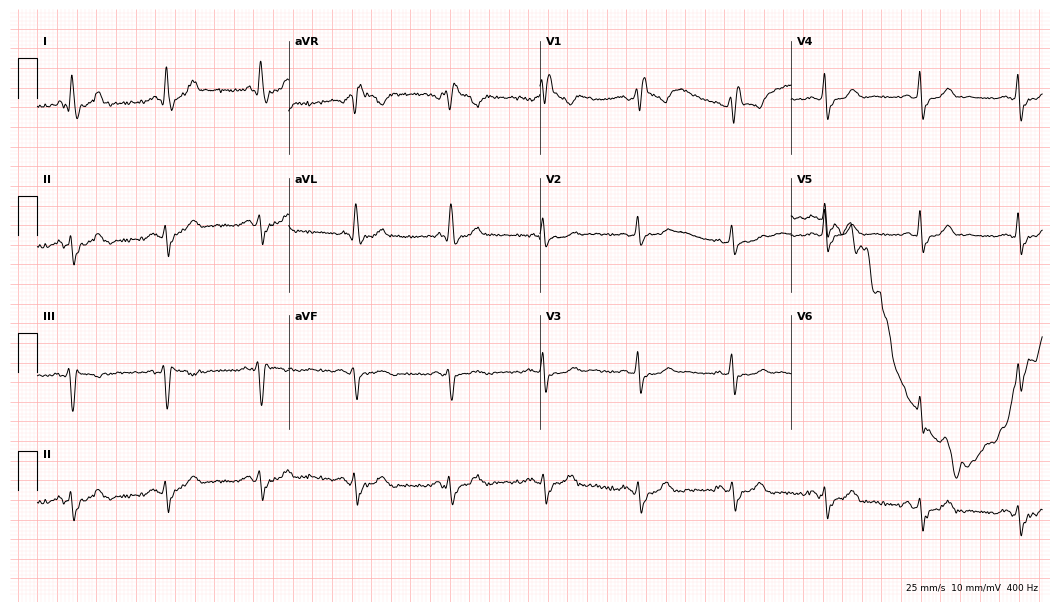
Resting 12-lead electrocardiogram. Patient: a 58-year-old male. None of these six findings is recorded: first-degree AV block, right bundle branch block, left bundle branch block, sinus bradycardia, atrial fibrillation, sinus tachycardia. Other findings, if any, are not listed.